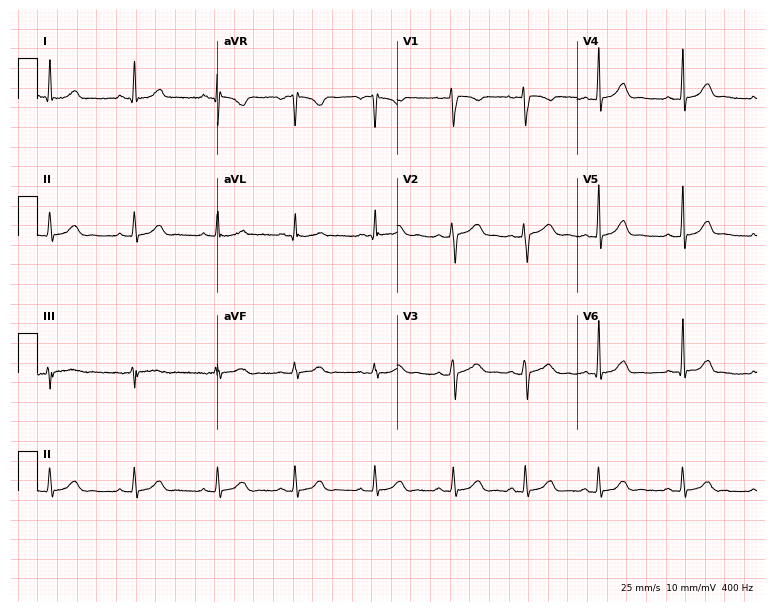
ECG (7.3-second recording at 400 Hz) — a 36-year-old woman. Labelled as a normal ECG.